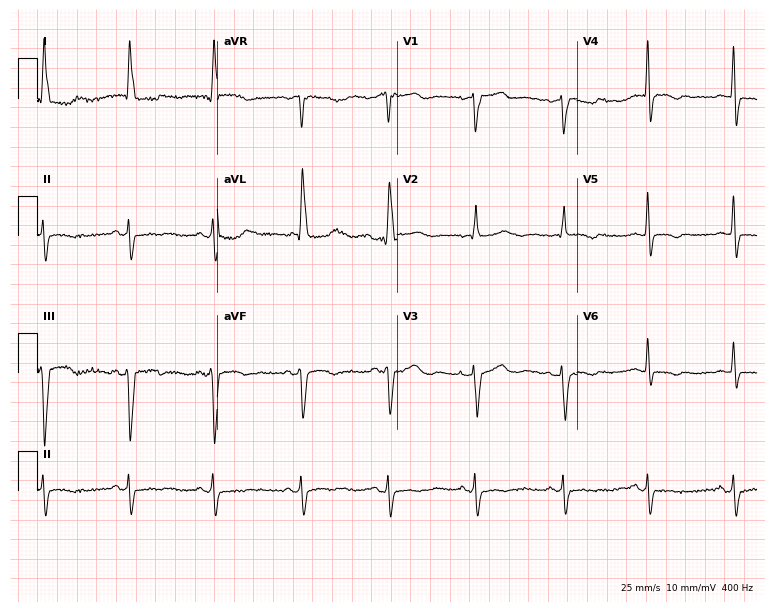
Electrocardiogram (7.3-second recording at 400 Hz), a woman, 85 years old. Of the six screened findings (first-degree AV block, right bundle branch block, left bundle branch block, sinus bradycardia, atrial fibrillation, sinus tachycardia), none is recorded. Findings outside these six are not listed.